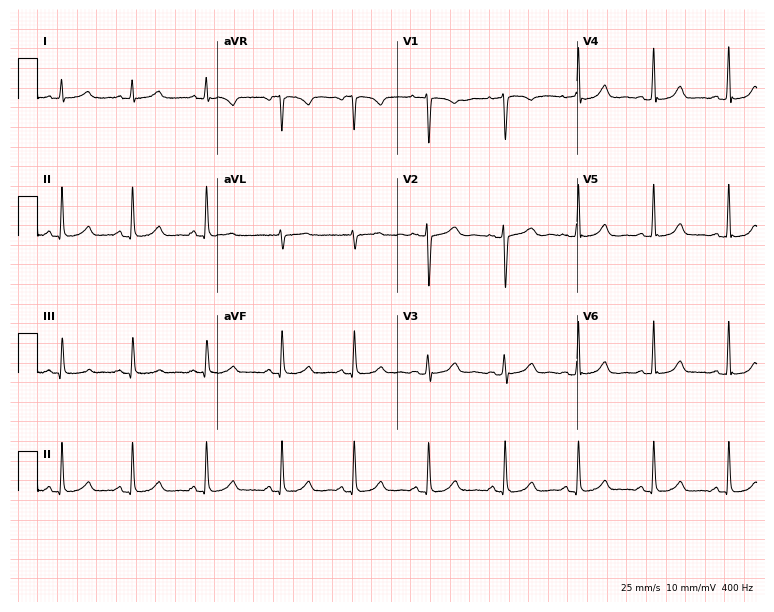
12-lead ECG from a 42-year-old woman (7.3-second recording at 400 Hz). Recorded interpretation: within normal limits.